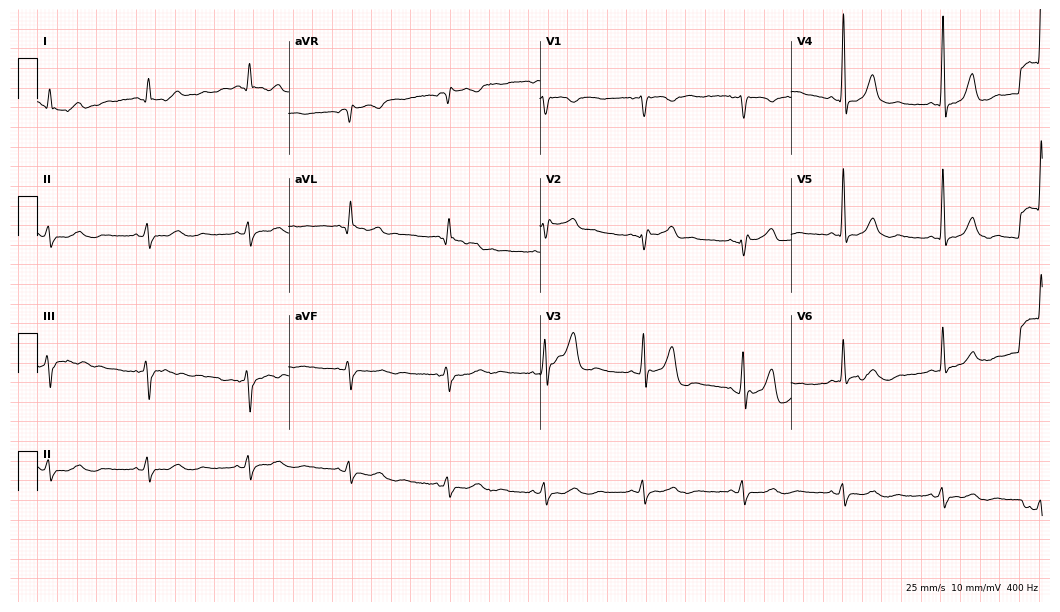
12-lead ECG from a 50-year-old male. Screened for six findings — first-degree AV block, right bundle branch block, left bundle branch block, sinus bradycardia, atrial fibrillation, sinus tachycardia — none is recorded. Other findings, if any, are not listed.